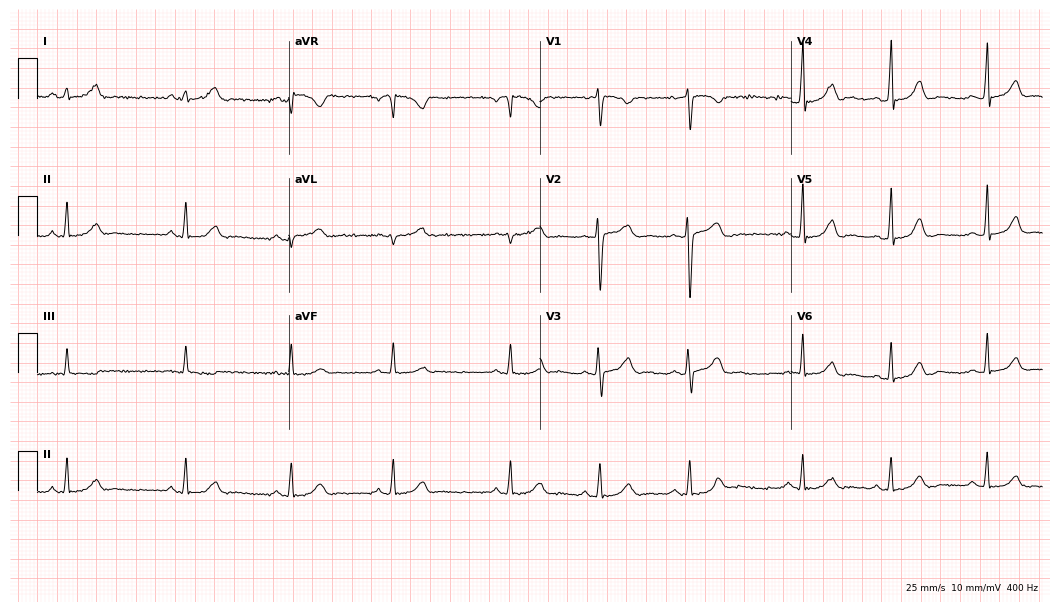
ECG — a woman, 17 years old. Labelled as a normal ECG.